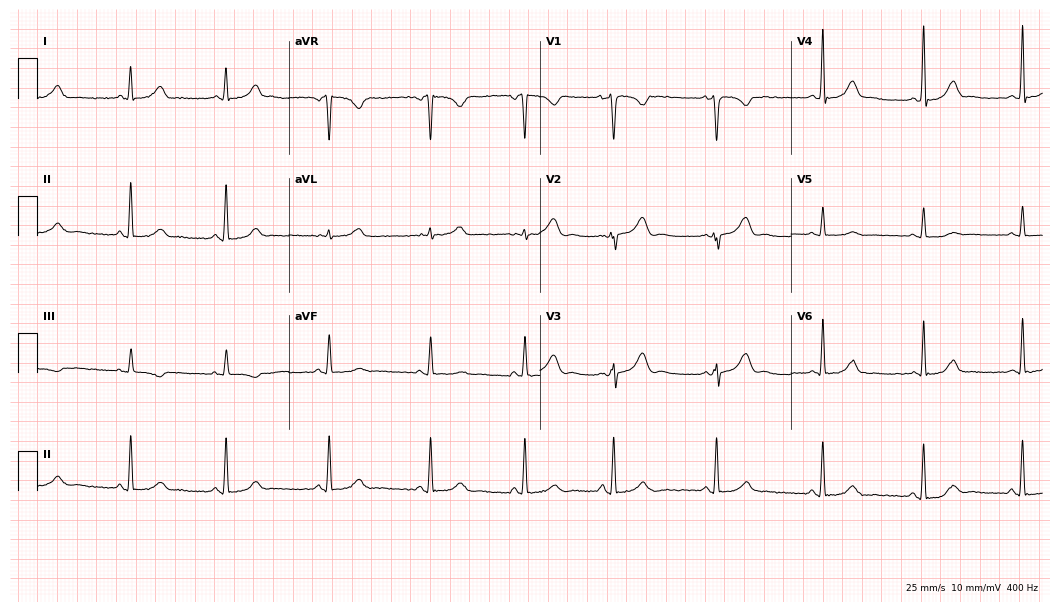
Resting 12-lead electrocardiogram. Patient: a 23-year-old female. None of these six findings is recorded: first-degree AV block, right bundle branch block, left bundle branch block, sinus bradycardia, atrial fibrillation, sinus tachycardia.